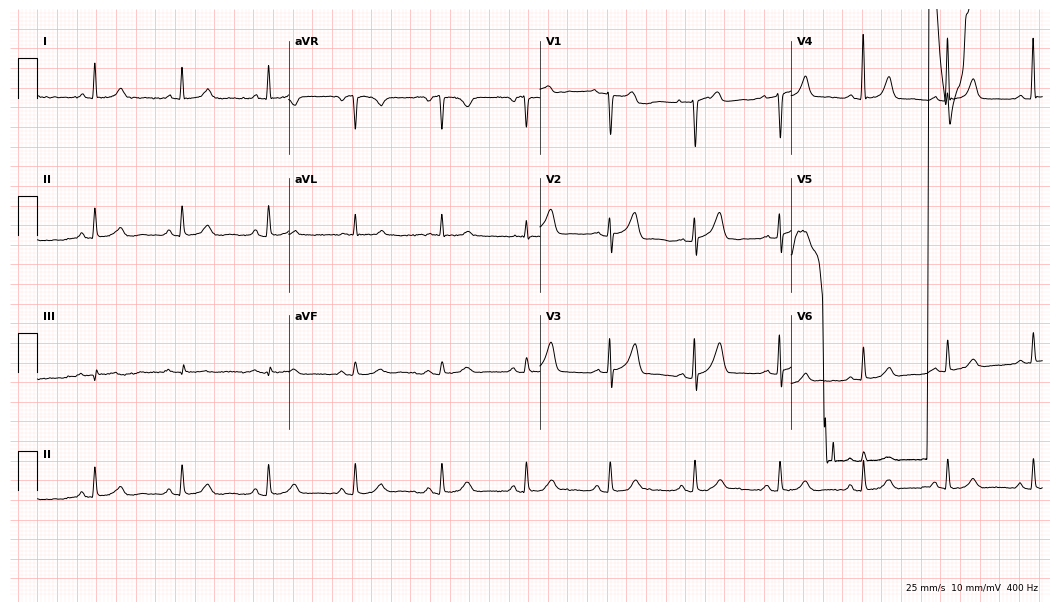
ECG (10.2-second recording at 400 Hz) — a woman, 64 years old. Screened for six findings — first-degree AV block, right bundle branch block, left bundle branch block, sinus bradycardia, atrial fibrillation, sinus tachycardia — none is recorded. Other findings, if any, are not listed.